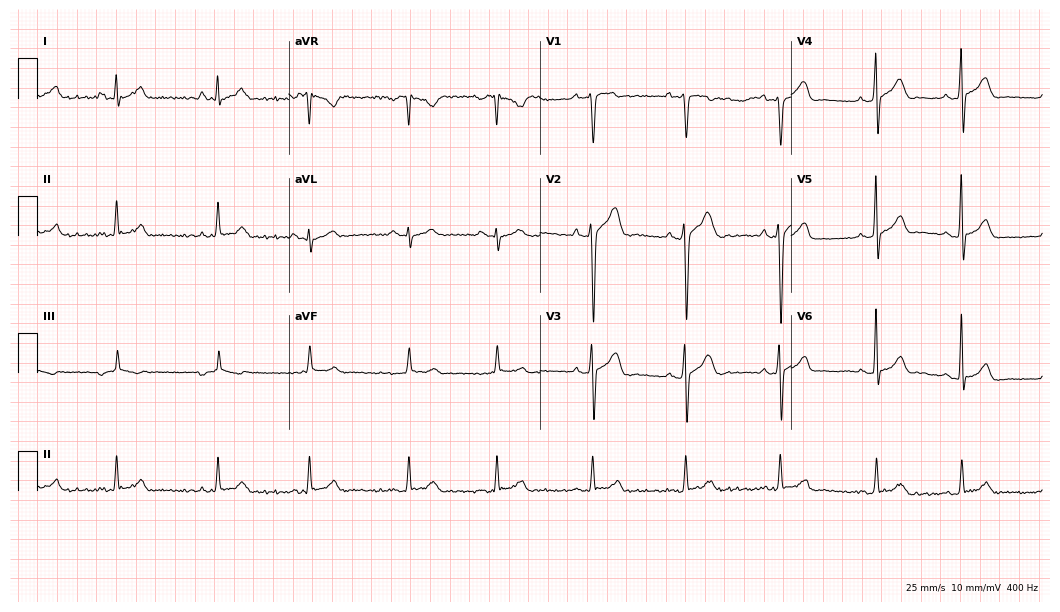
12-lead ECG from a male patient, 21 years old. Recorded interpretation: within normal limits.